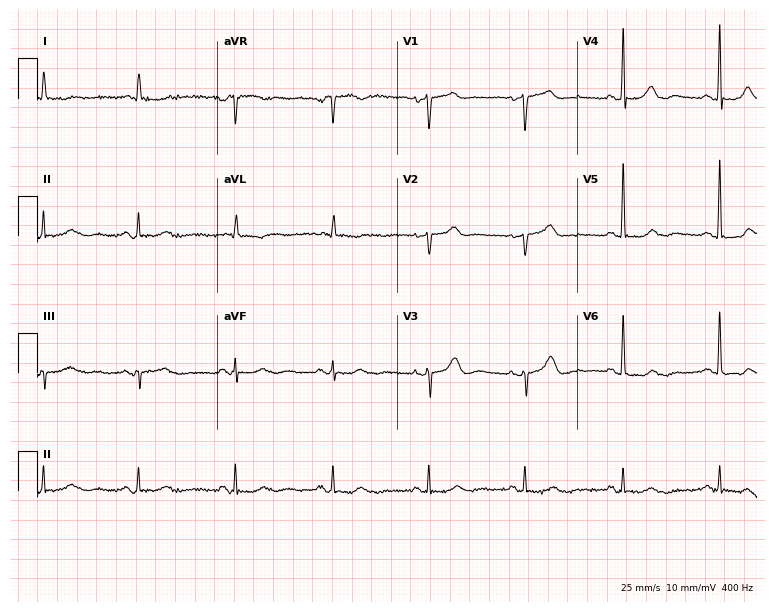
Standard 12-lead ECG recorded from a 65-year-old female patient (7.3-second recording at 400 Hz). None of these six findings is recorded: first-degree AV block, right bundle branch block (RBBB), left bundle branch block (LBBB), sinus bradycardia, atrial fibrillation (AF), sinus tachycardia. Other findings, if any, are not listed.